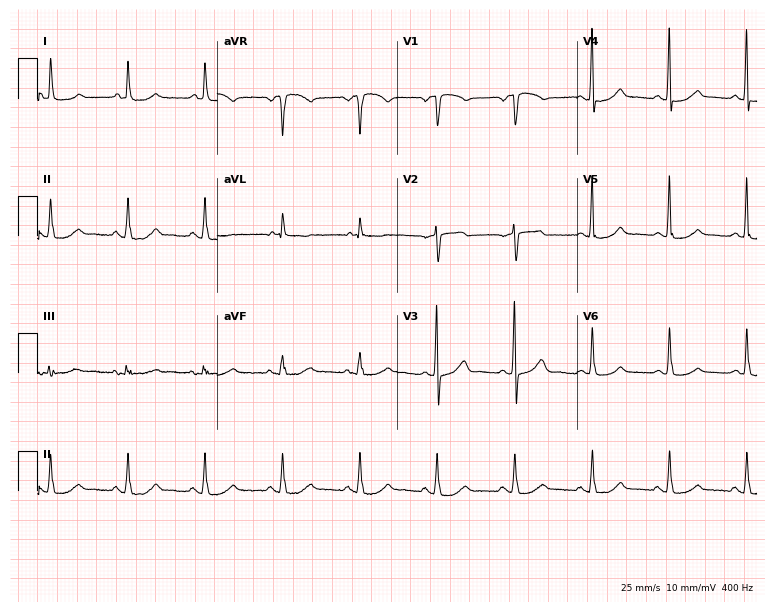
Standard 12-lead ECG recorded from an 84-year-old female. Read as a normal ECG.